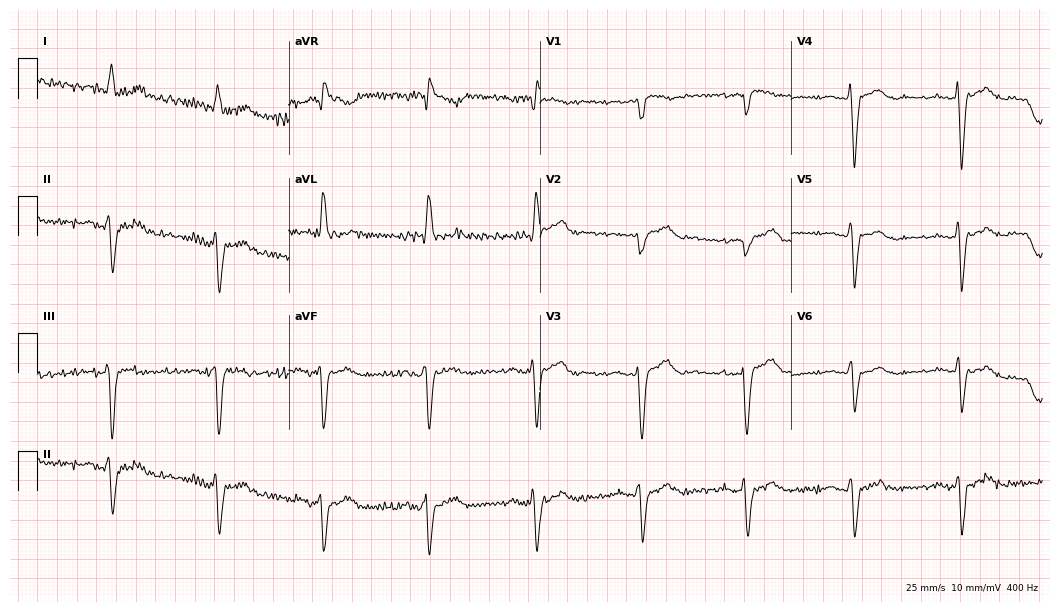
12-lead ECG from a female, 70 years old (10.2-second recording at 400 Hz). No first-degree AV block, right bundle branch block, left bundle branch block, sinus bradycardia, atrial fibrillation or sinus tachycardia recorded for this tracing. Other findings, if any, are not listed.